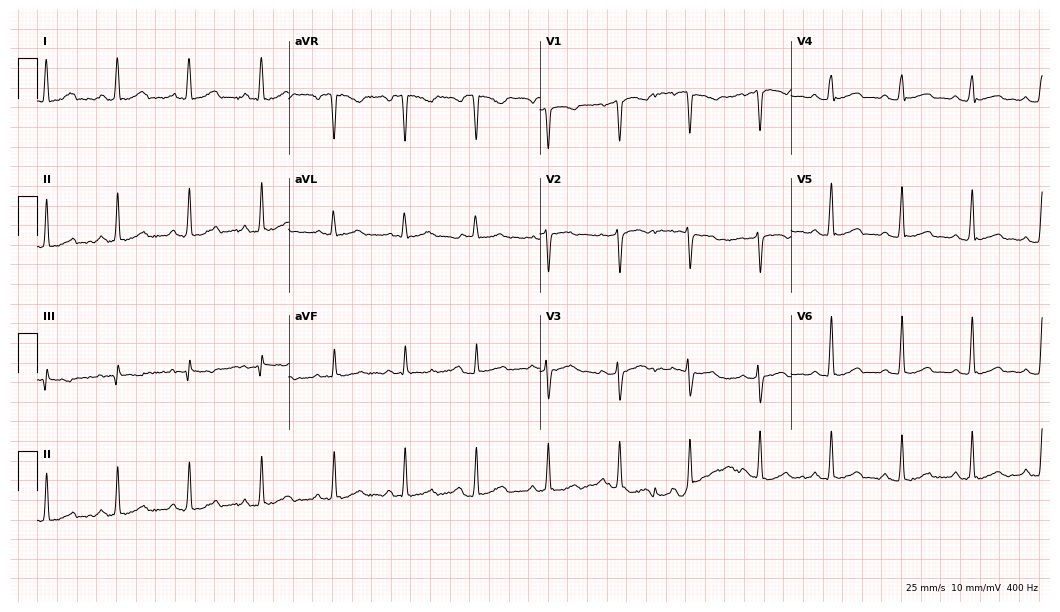
Standard 12-lead ECG recorded from a woman, 36 years old. Read as a normal ECG.